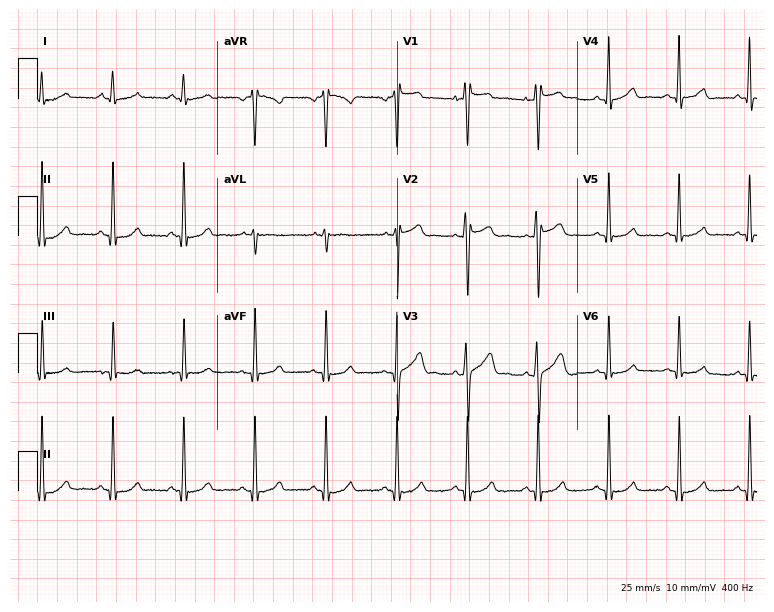
Electrocardiogram, a 59-year-old man. Overall reading on record: normal ECG.